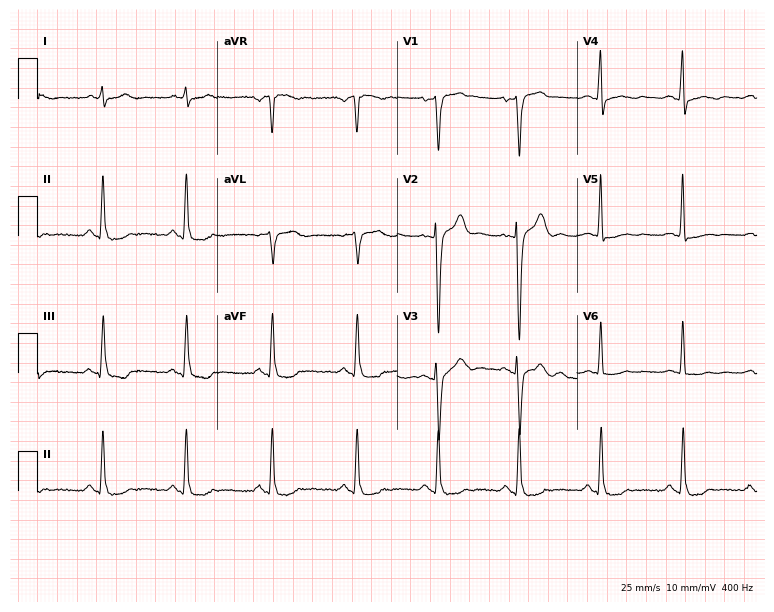
Electrocardiogram, a male, 37 years old. Of the six screened findings (first-degree AV block, right bundle branch block, left bundle branch block, sinus bradycardia, atrial fibrillation, sinus tachycardia), none is recorded.